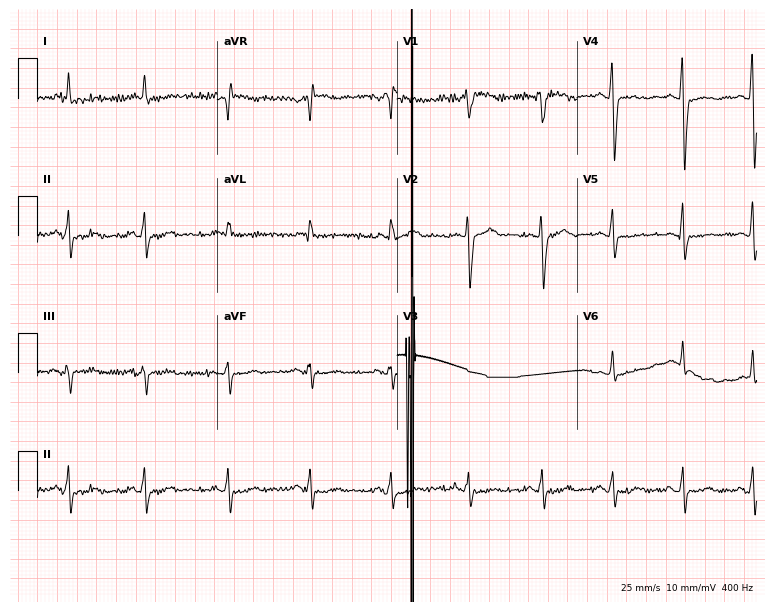
12-lead ECG from a male patient, 53 years old (7.3-second recording at 400 Hz). No first-degree AV block, right bundle branch block, left bundle branch block, sinus bradycardia, atrial fibrillation or sinus tachycardia recorded for this tracing. Only these six findings were labelled.